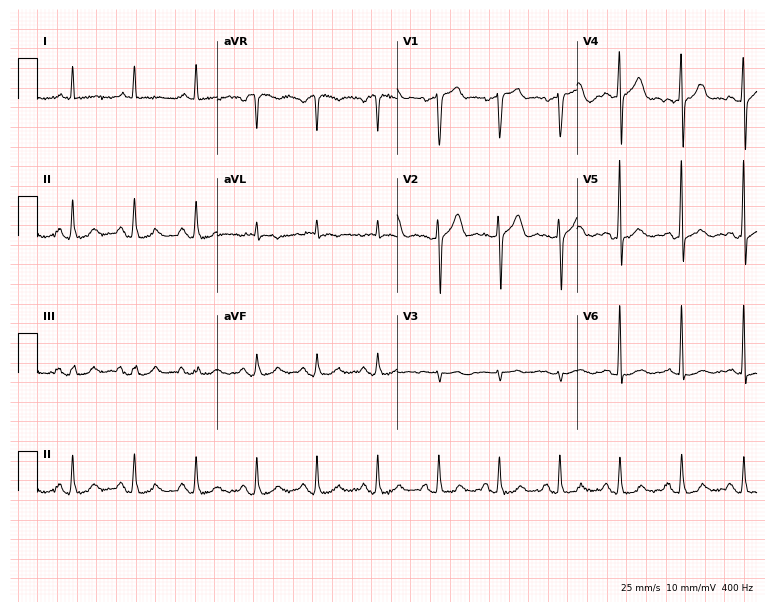
Standard 12-lead ECG recorded from a 77-year-old man. Read as a normal ECG.